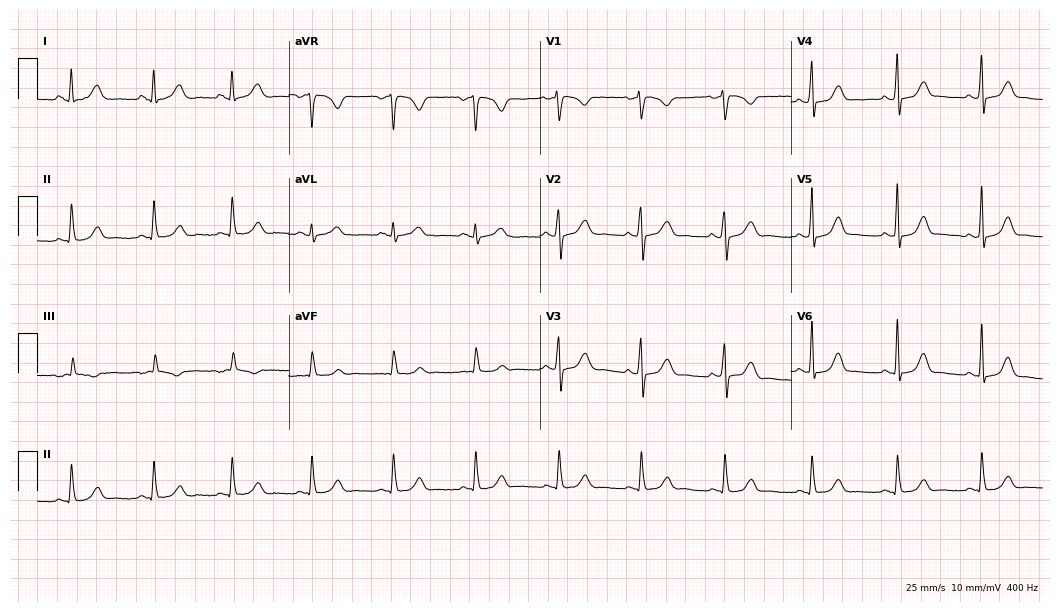
12-lead ECG from a 31-year-old female. Labelled as a normal ECG.